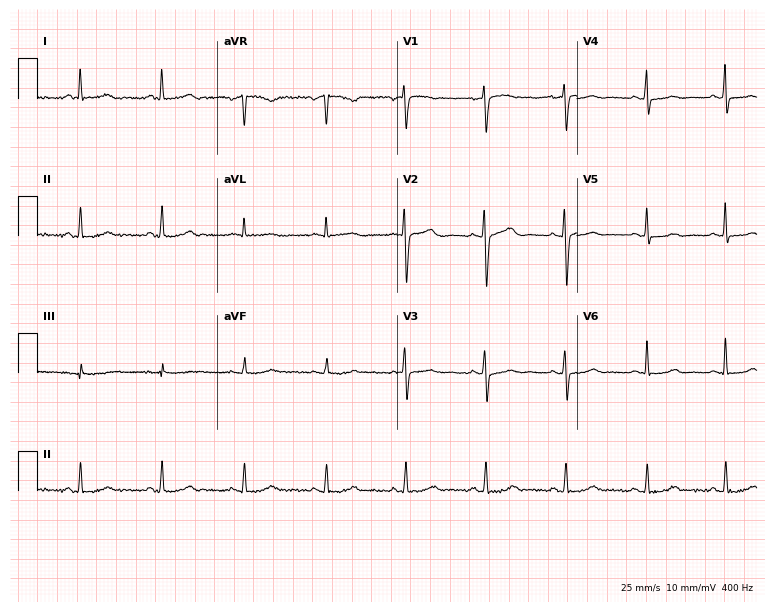
Electrocardiogram, a female, 56 years old. Of the six screened findings (first-degree AV block, right bundle branch block, left bundle branch block, sinus bradycardia, atrial fibrillation, sinus tachycardia), none is recorded. Other findings, if any, are not listed.